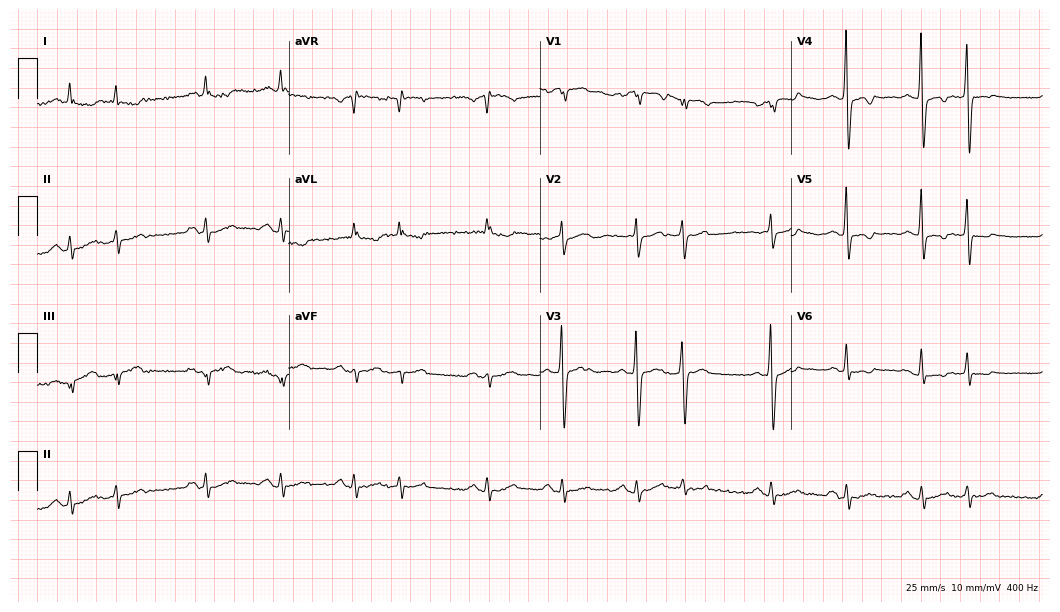
Electrocardiogram (10.2-second recording at 400 Hz), a man, 71 years old. Of the six screened findings (first-degree AV block, right bundle branch block (RBBB), left bundle branch block (LBBB), sinus bradycardia, atrial fibrillation (AF), sinus tachycardia), none is recorded. Other findings, if any, are not listed.